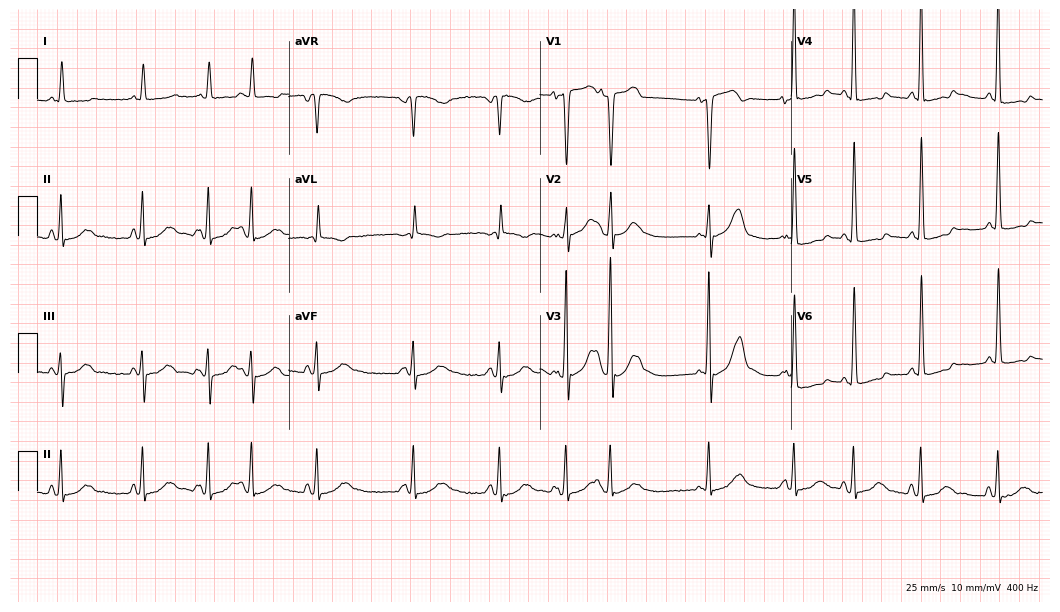
Standard 12-lead ECG recorded from a woman, 78 years old. None of these six findings is recorded: first-degree AV block, right bundle branch block, left bundle branch block, sinus bradycardia, atrial fibrillation, sinus tachycardia. Only these six findings were labelled.